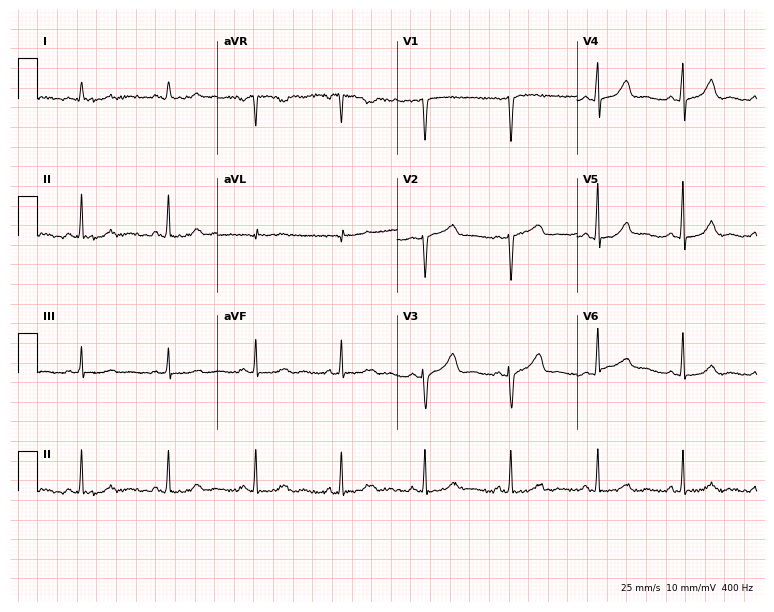
Resting 12-lead electrocardiogram (7.3-second recording at 400 Hz). Patient: a female, 49 years old. None of these six findings is recorded: first-degree AV block, right bundle branch block, left bundle branch block, sinus bradycardia, atrial fibrillation, sinus tachycardia.